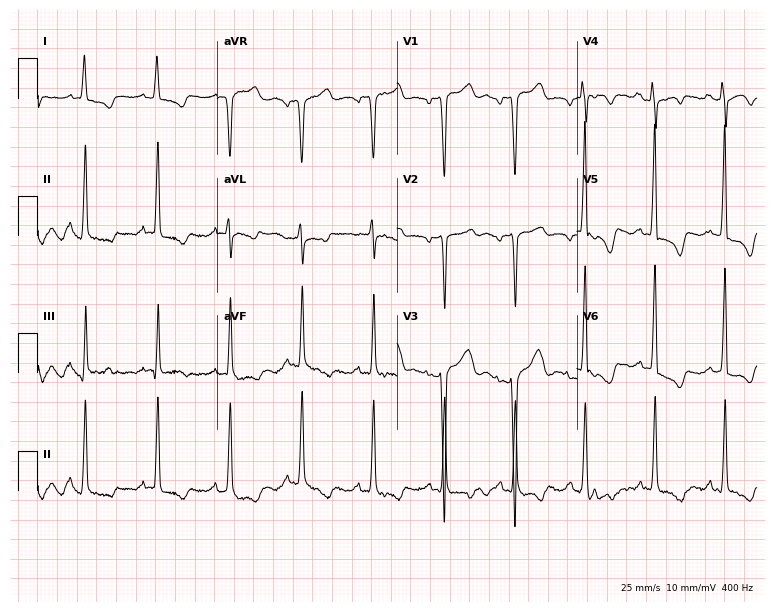
12-lead ECG from a 75-year-old woman. No first-degree AV block, right bundle branch block, left bundle branch block, sinus bradycardia, atrial fibrillation or sinus tachycardia recorded for this tracing. Only these six findings were labelled.